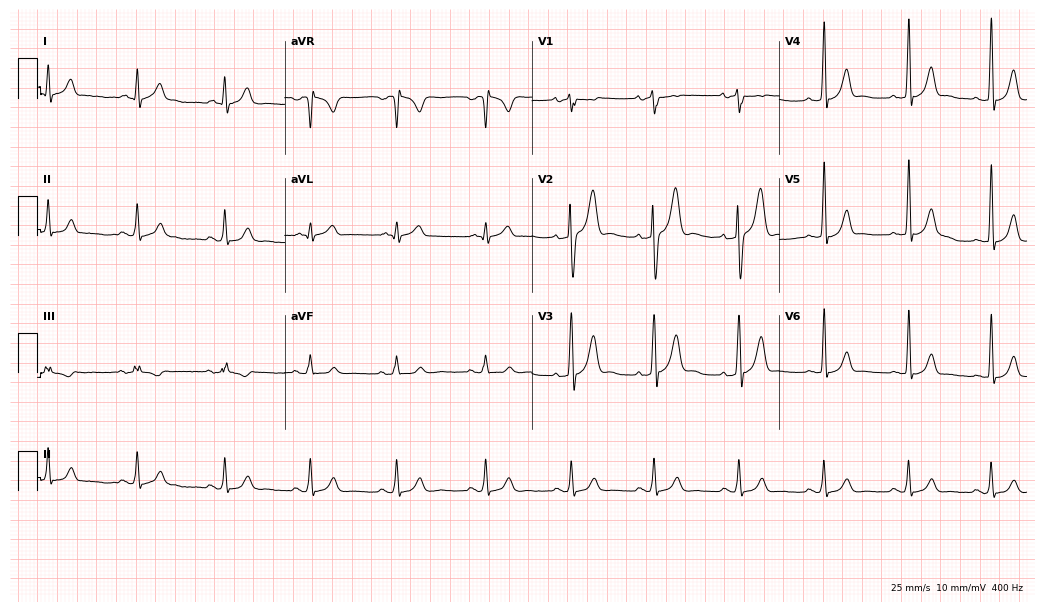
Resting 12-lead electrocardiogram. Patient: a man, 32 years old. Read as a normal ECG.